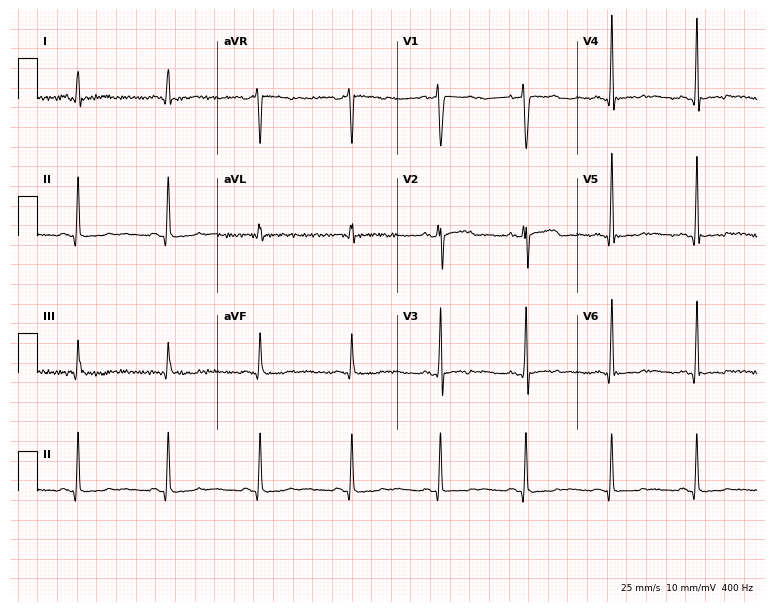
Standard 12-lead ECG recorded from a 40-year-old man (7.3-second recording at 400 Hz). None of these six findings is recorded: first-degree AV block, right bundle branch block, left bundle branch block, sinus bradycardia, atrial fibrillation, sinus tachycardia. Other findings, if any, are not listed.